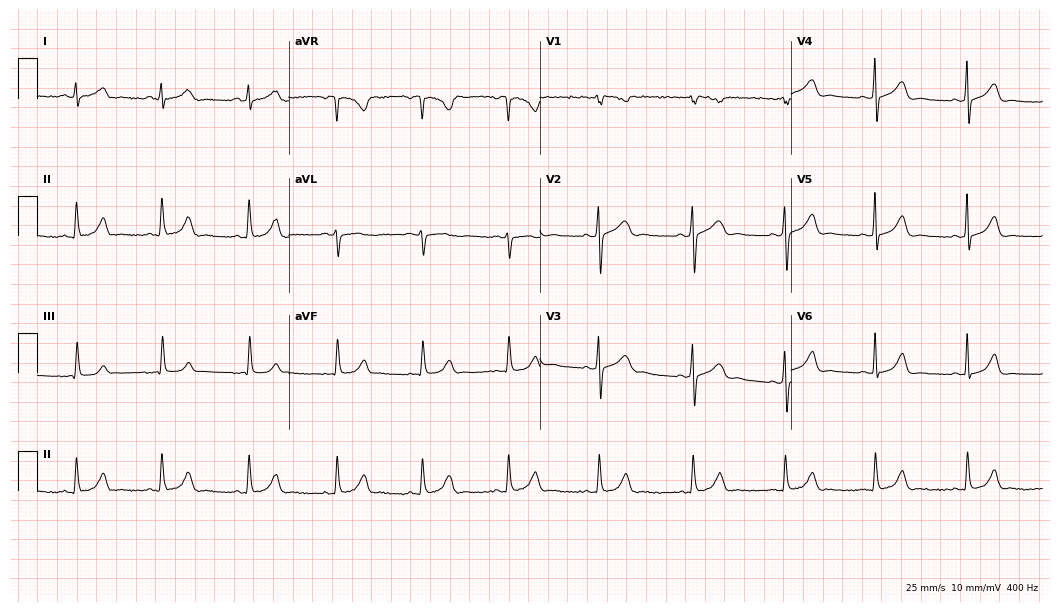
ECG (10.2-second recording at 400 Hz) — a female, 37 years old. Labelled as a normal ECG.